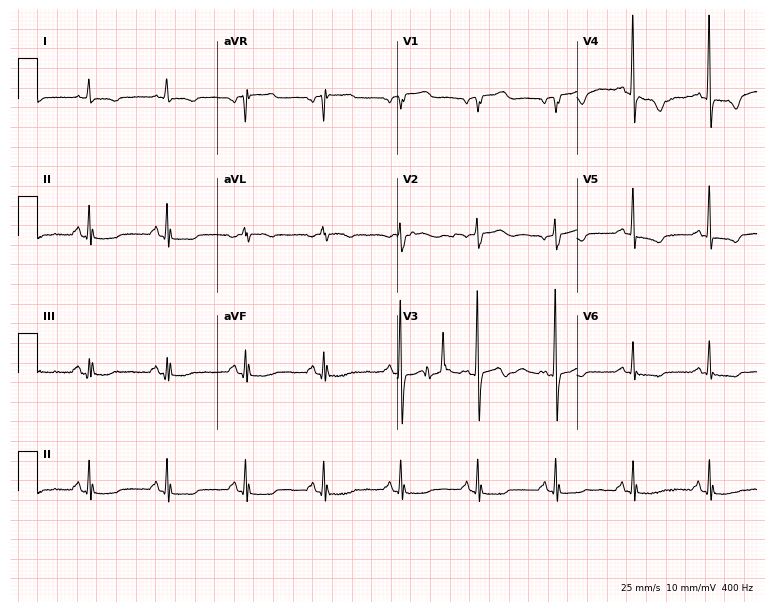
Resting 12-lead electrocardiogram. Patient: a woman, 79 years old. None of these six findings is recorded: first-degree AV block, right bundle branch block, left bundle branch block, sinus bradycardia, atrial fibrillation, sinus tachycardia. Findings outside these six are not listed.